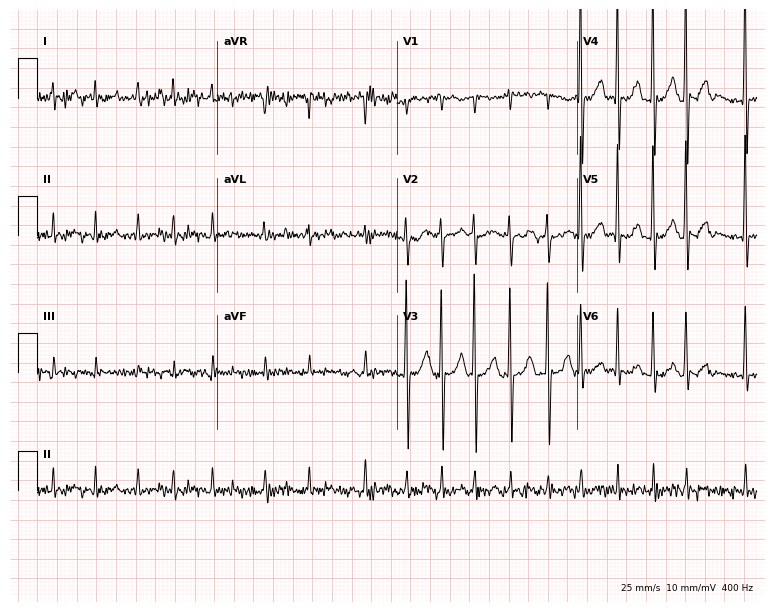
Standard 12-lead ECG recorded from a male patient, 61 years old (7.3-second recording at 400 Hz). None of these six findings is recorded: first-degree AV block, right bundle branch block (RBBB), left bundle branch block (LBBB), sinus bradycardia, atrial fibrillation (AF), sinus tachycardia.